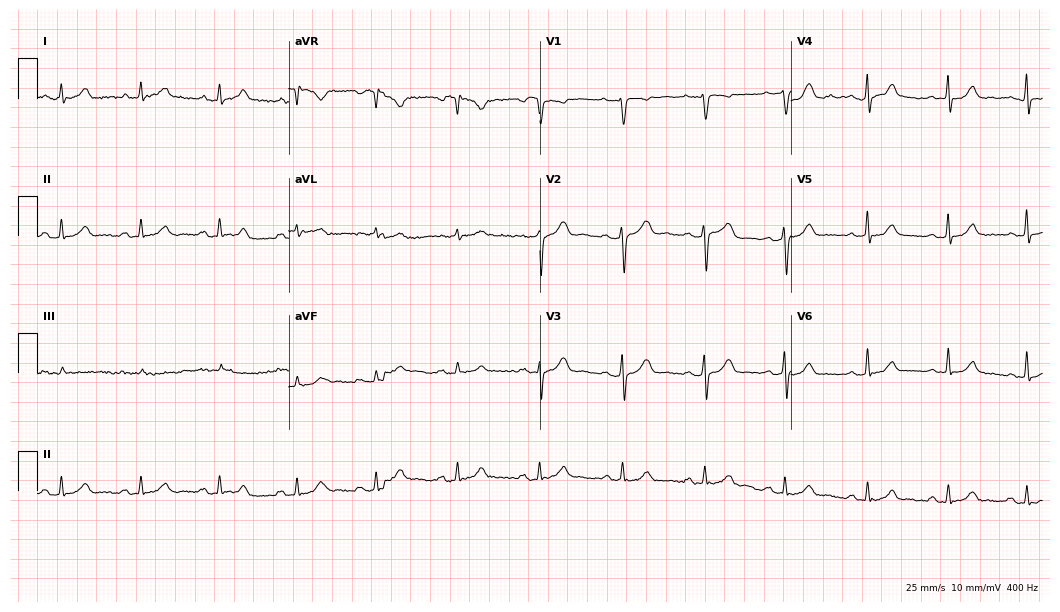
Standard 12-lead ECG recorded from a female patient, 29 years old (10.2-second recording at 400 Hz). Read as a normal ECG.